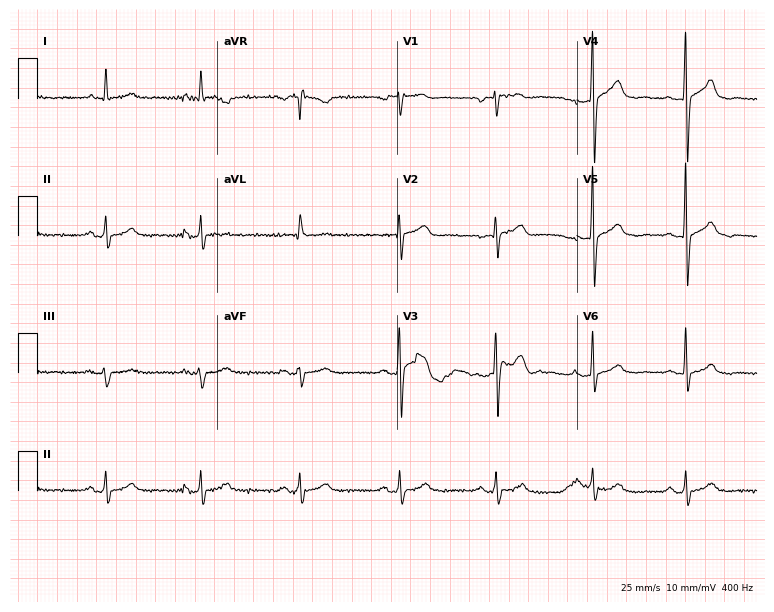
12-lead ECG from a male, 59 years old. Screened for six findings — first-degree AV block, right bundle branch block, left bundle branch block, sinus bradycardia, atrial fibrillation, sinus tachycardia — none is recorded. Only these six findings were labelled.